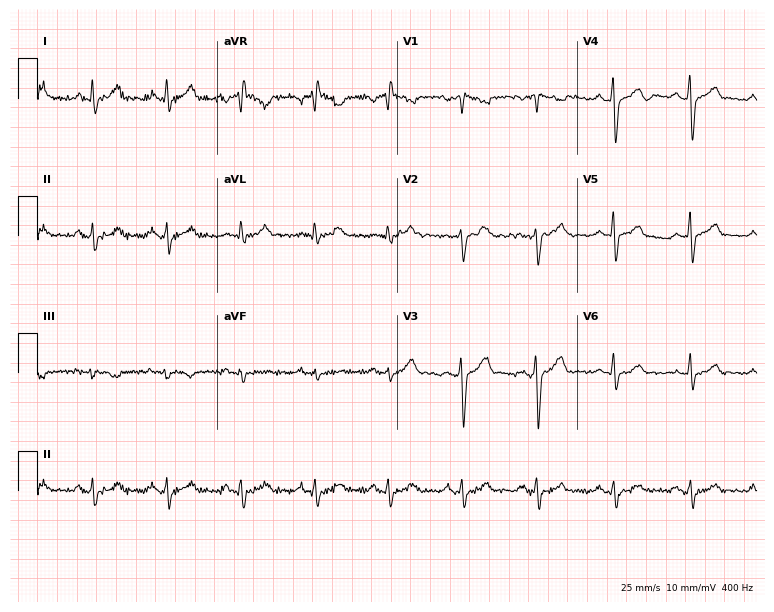
Electrocardiogram, a man, 49 years old. Of the six screened findings (first-degree AV block, right bundle branch block, left bundle branch block, sinus bradycardia, atrial fibrillation, sinus tachycardia), none is recorded. Findings outside these six are not listed.